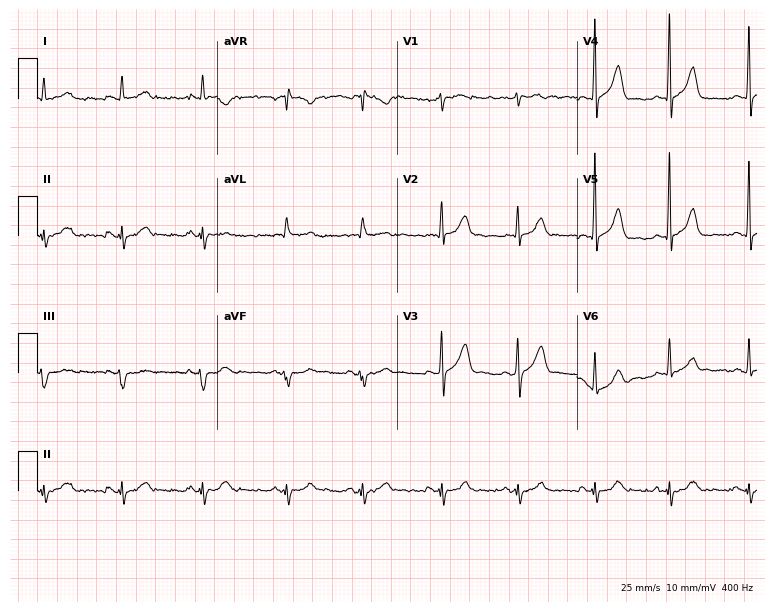
12-lead ECG from a 59-year-old male patient. No first-degree AV block, right bundle branch block (RBBB), left bundle branch block (LBBB), sinus bradycardia, atrial fibrillation (AF) or sinus tachycardia recorded for this tracing.